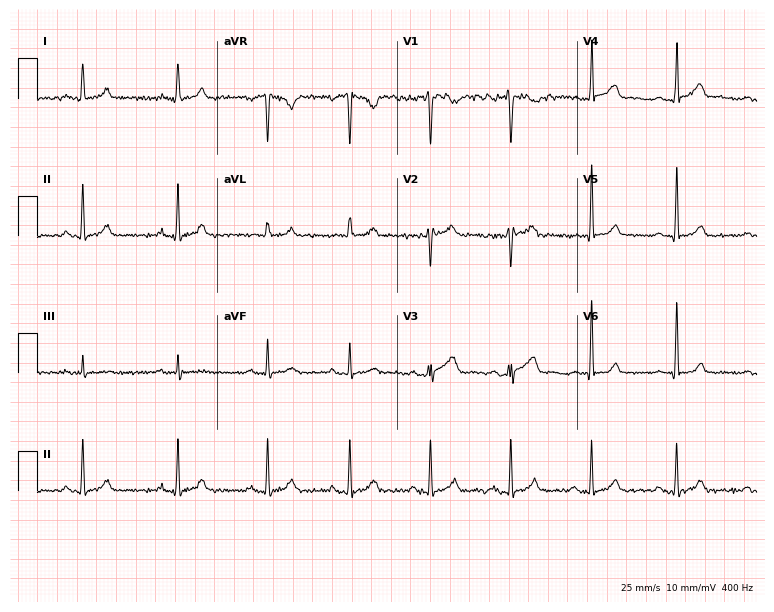
12-lead ECG from a male patient, 33 years old. Recorded interpretation: within normal limits.